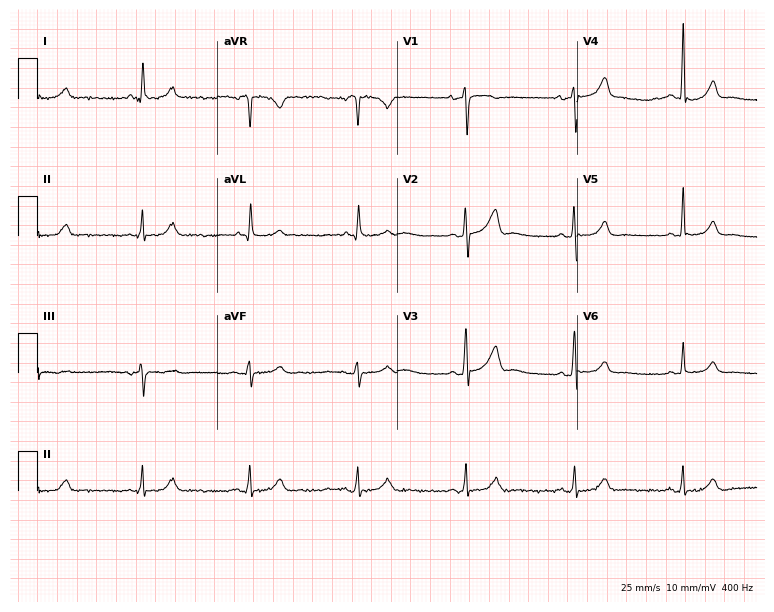
Electrocardiogram, a 69-year-old male. Overall reading on record: normal ECG.